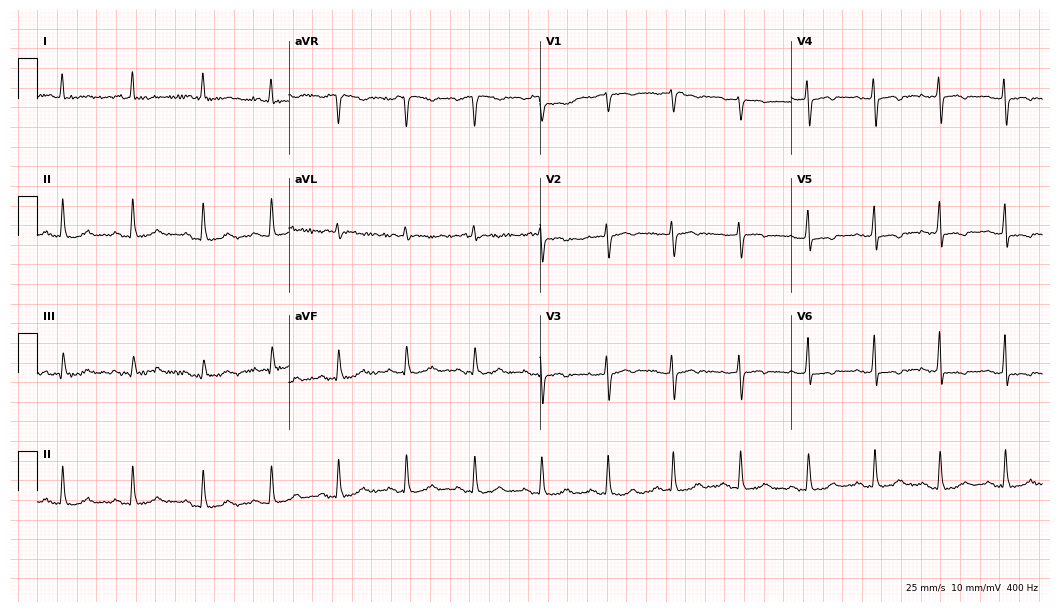
Standard 12-lead ECG recorded from a woman, 60 years old. None of these six findings is recorded: first-degree AV block, right bundle branch block (RBBB), left bundle branch block (LBBB), sinus bradycardia, atrial fibrillation (AF), sinus tachycardia.